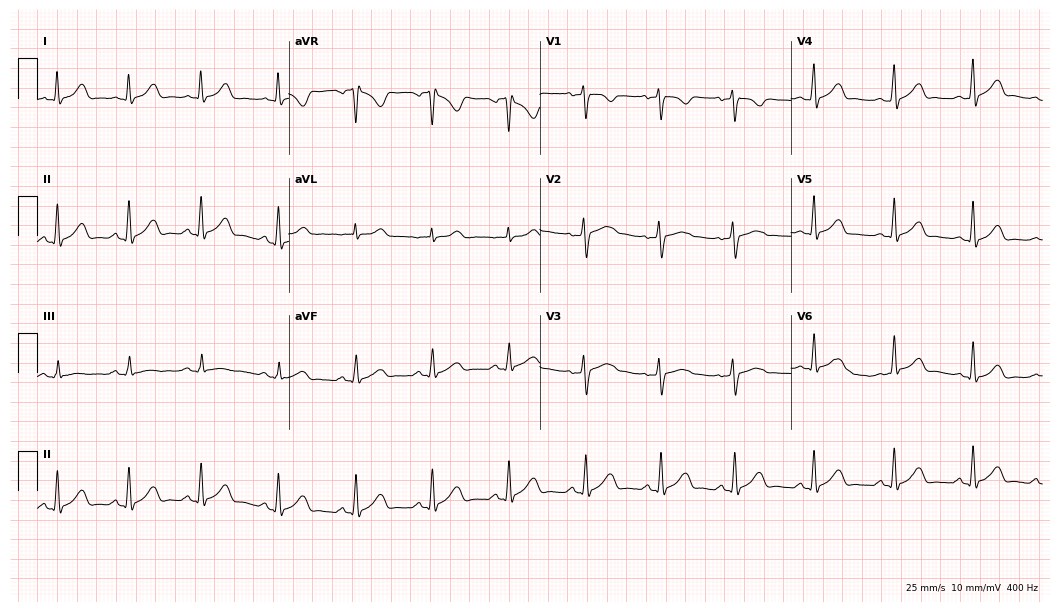
Electrocardiogram, a 25-year-old female. Overall reading on record: normal ECG.